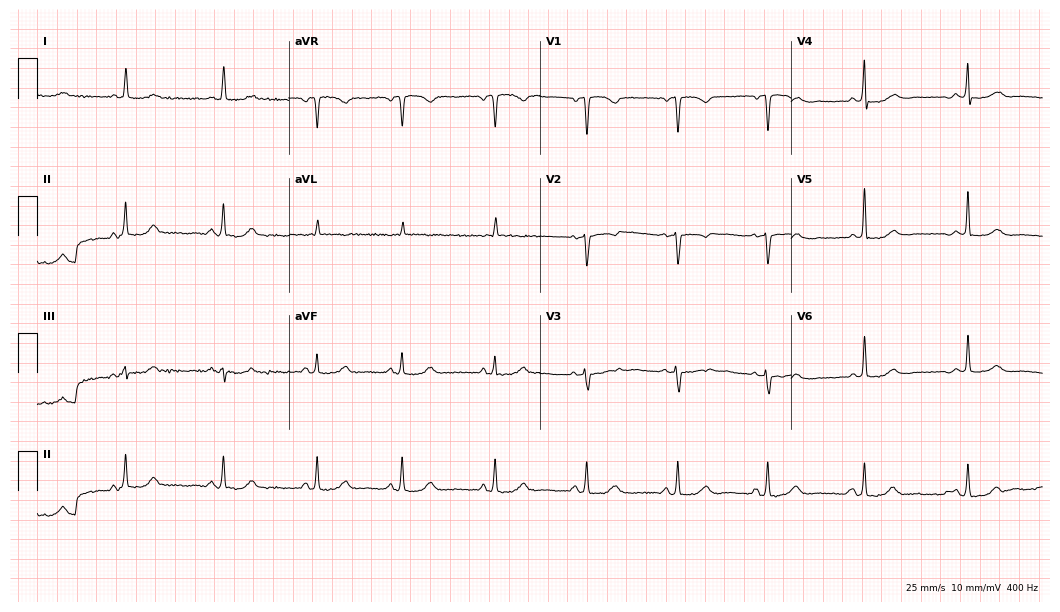
Standard 12-lead ECG recorded from a 53-year-old female patient (10.2-second recording at 400 Hz). None of these six findings is recorded: first-degree AV block, right bundle branch block (RBBB), left bundle branch block (LBBB), sinus bradycardia, atrial fibrillation (AF), sinus tachycardia.